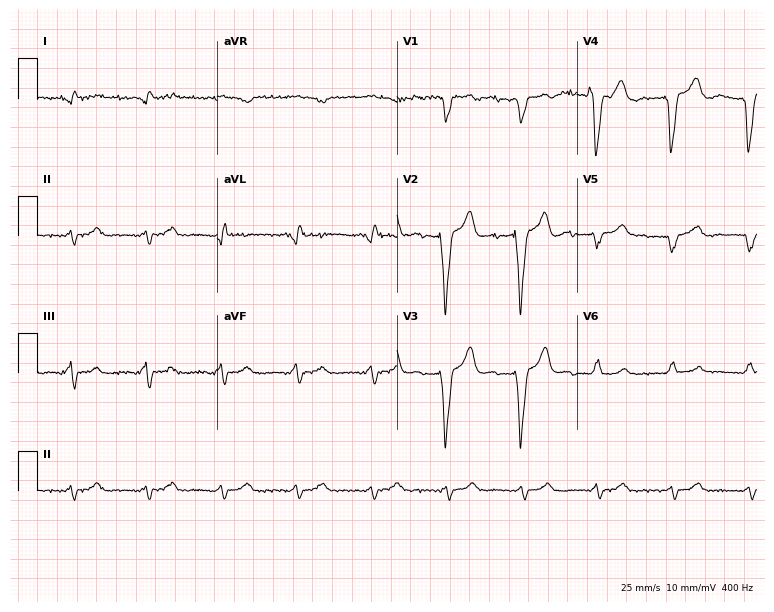
12-lead ECG from a woman, 77 years old (7.3-second recording at 400 Hz). No first-degree AV block, right bundle branch block, left bundle branch block, sinus bradycardia, atrial fibrillation or sinus tachycardia recorded for this tracing.